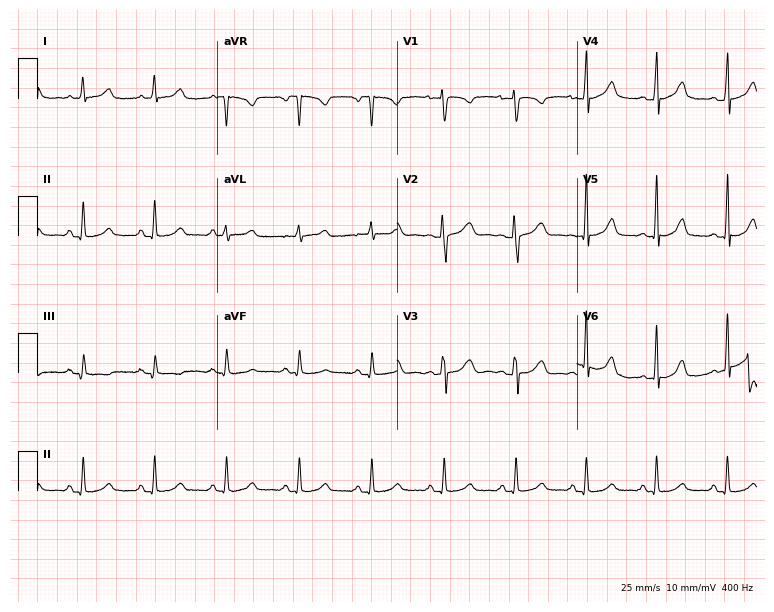
Resting 12-lead electrocardiogram (7.3-second recording at 400 Hz). Patient: a 38-year-old female. Read as a normal ECG.